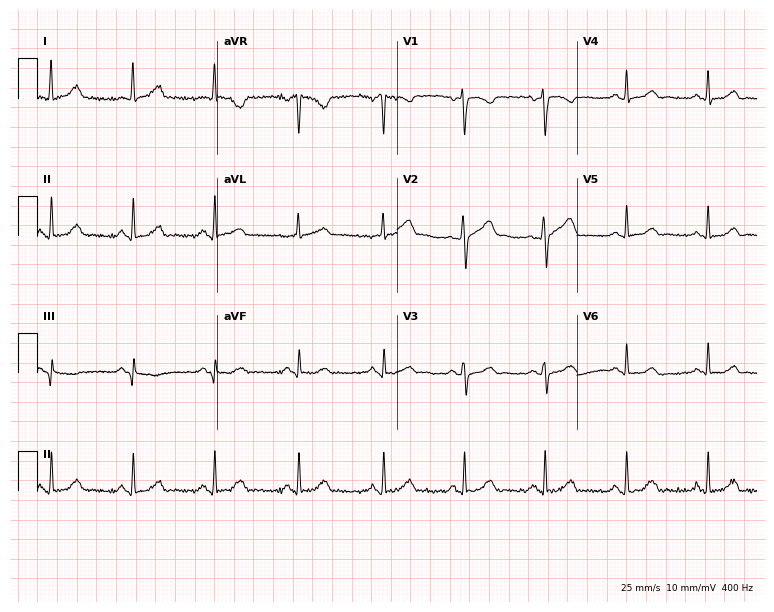
ECG — a female, 43 years old. Labelled as a normal ECG.